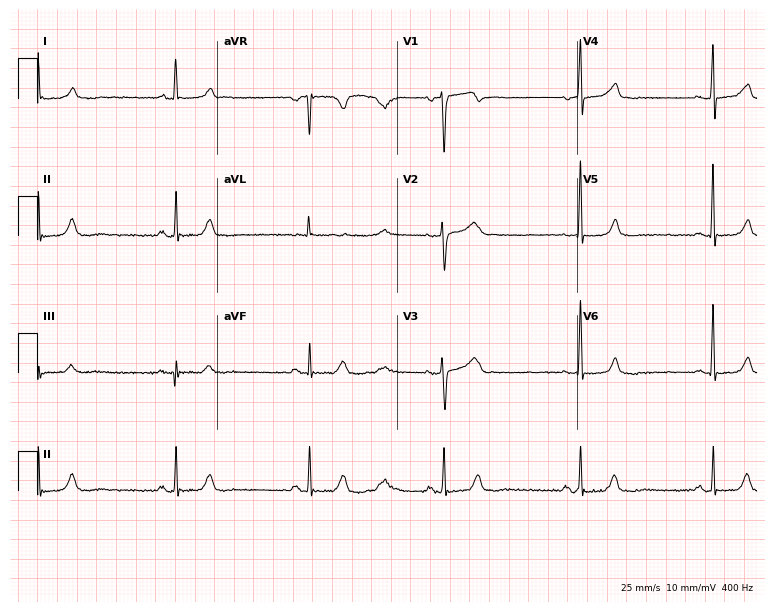
ECG (7.3-second recording at 400 Hz) — a female patient, 52 years old. Findings include sinus bradycardia (a sinus rate of 50 beats per minute or less).